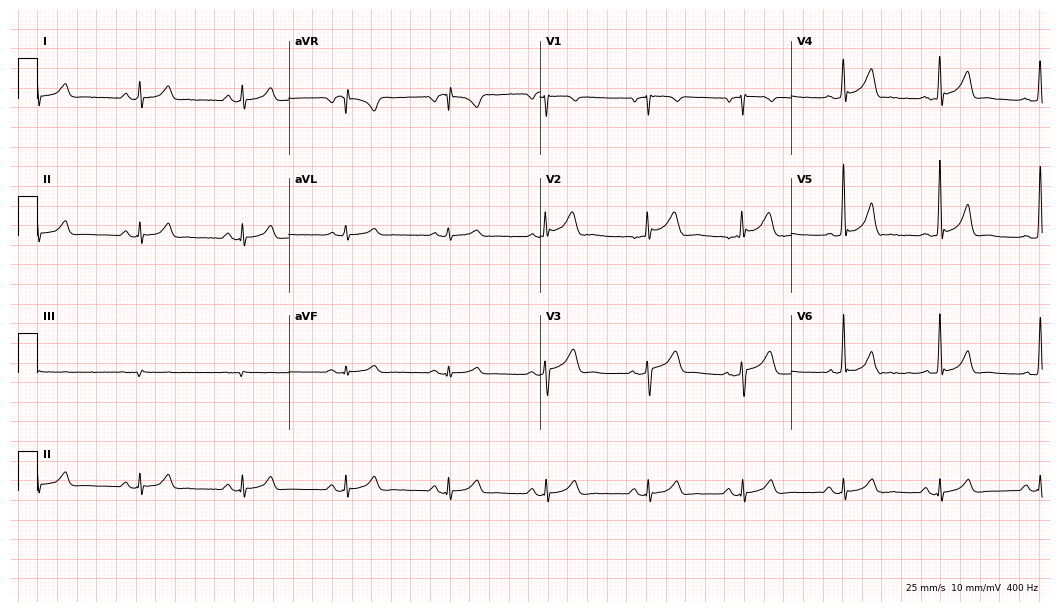
ECG (10.2-second recording at 400 Hz) — a man, 58 years old. Labelled as a normal ECG.